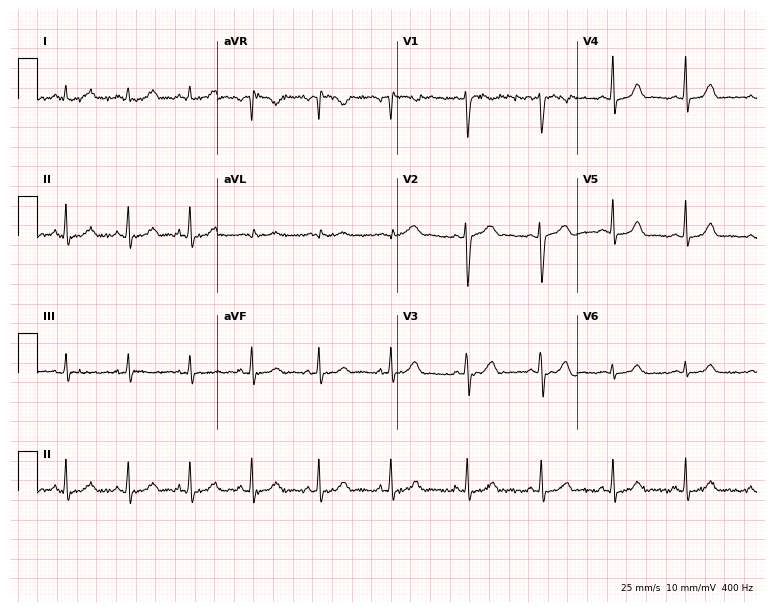
Electrocardiogram, a 28-year-old female. Overall reading on record: normal ECG.